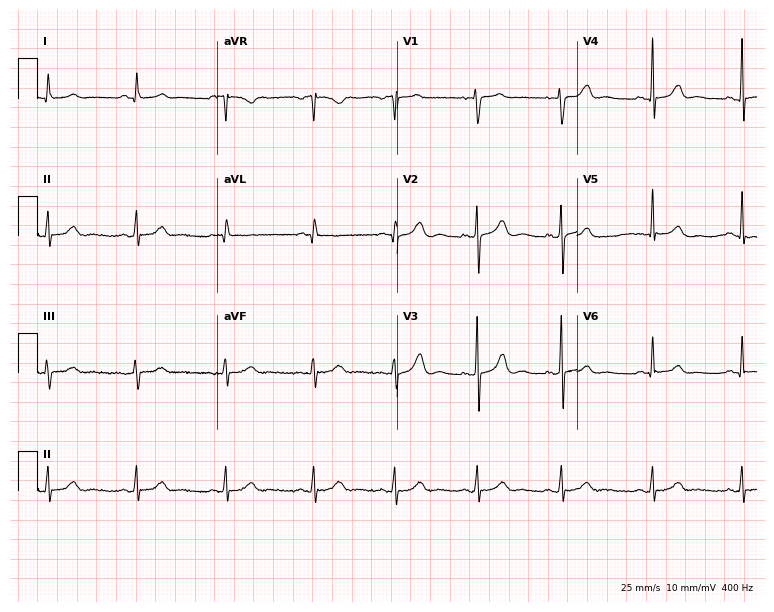
ECG (7.3-second recording at 400 Hz) — a 40-year-old woman. Labelled as a normal ECG.